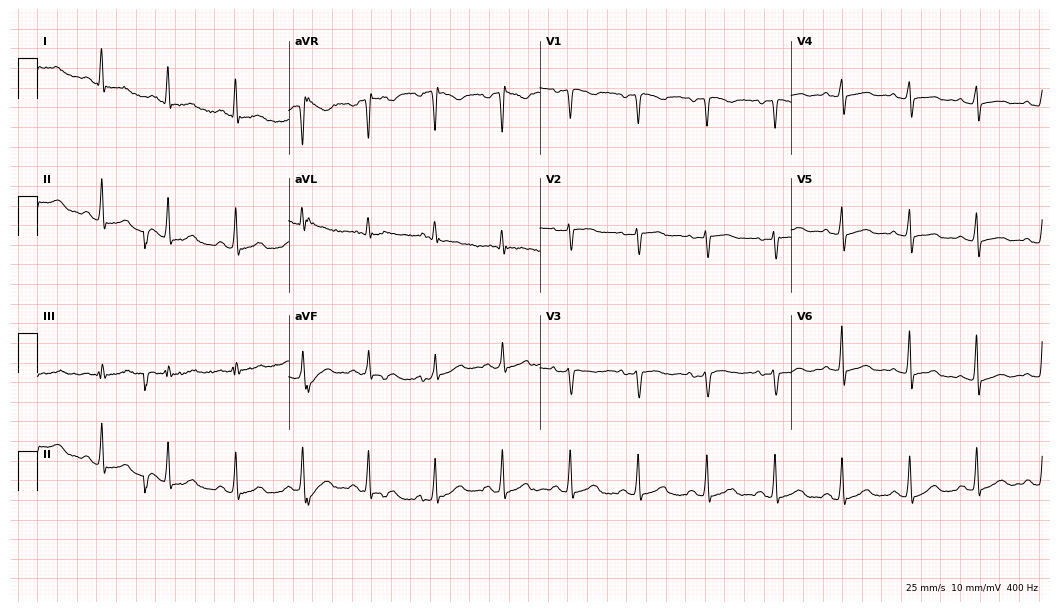
12-lead ECG (10.2-second recording at 400 Hz) from a female patient, 46 years old. Screened for six findings — first-degree AV block, right bundle branch block, left bundle branch block, sinus bradycardia, atrial fibrillation, sinus tachycardia — none is recorded.